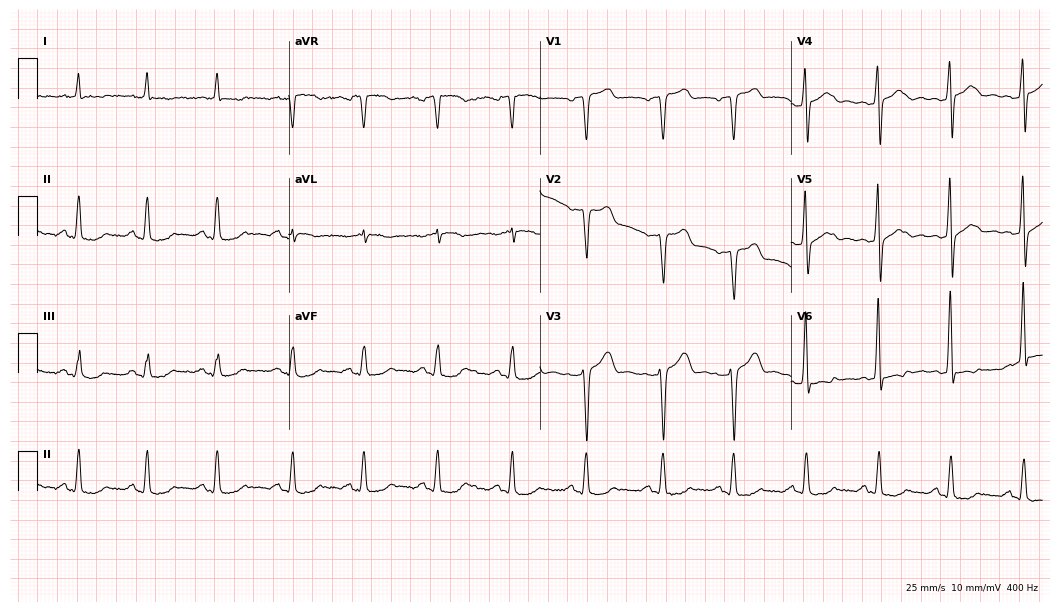
Standard 12-lead ECG recorded from a male, 71 years old. None of these six findings is recorded: first-degree AV block, right bundle branch block (RBBB), left bundle branch block (LBBB), sinus bradycardia, atrial fibrillation (AF), sinus tachycardia.